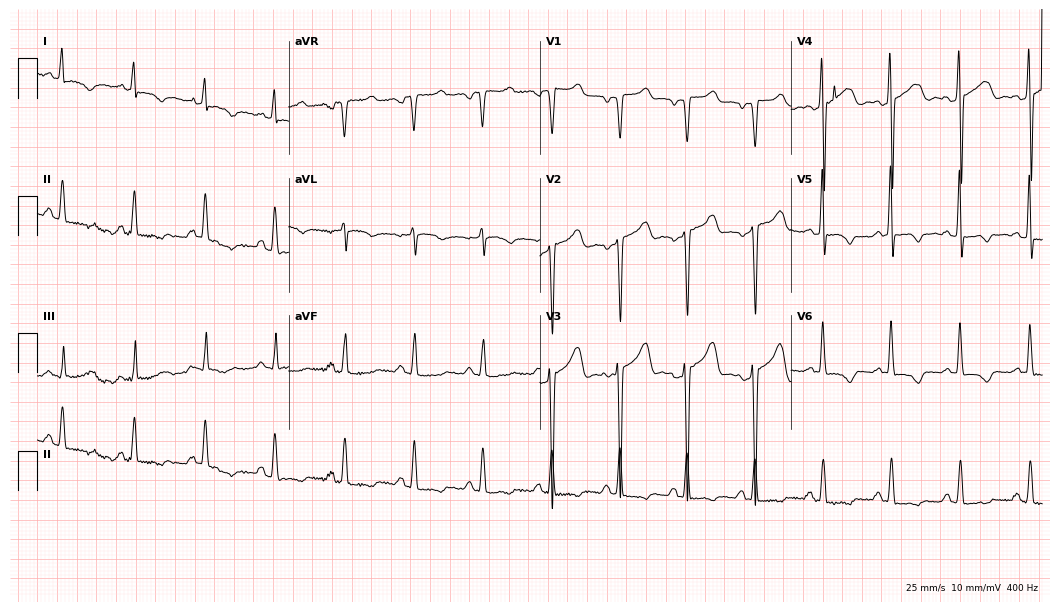
12-lead ECG (10.2-second recording at 400 Hz) from a male, 41 years old. Screened for six findings — first-degree AV block, right bundle branch block, left bundle branch block, sinus bradycardia, atrial fibrillation, sinus tachycardia — none is recorded.